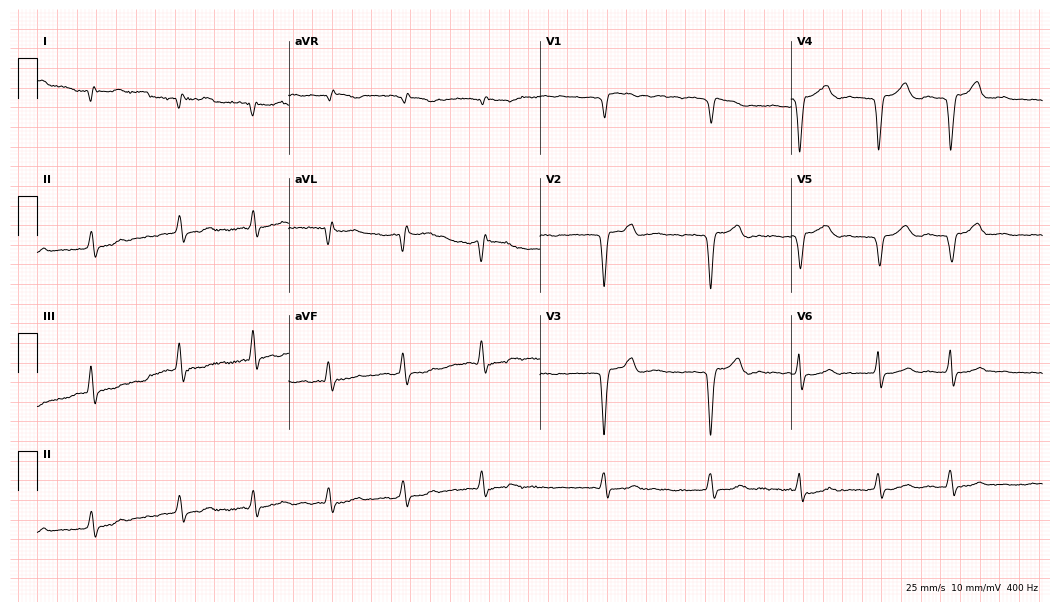
Electrocardiogram (10.2-second recording at 400 Hz), a woman, 78 years old. Of the six screened findings (first-degree AV block, right bundle branch block, left bundle branch block, sinus bradycardia, atrial fibrillation, sinus tachycardia), none is recorded. Findings outside these six are not listed.